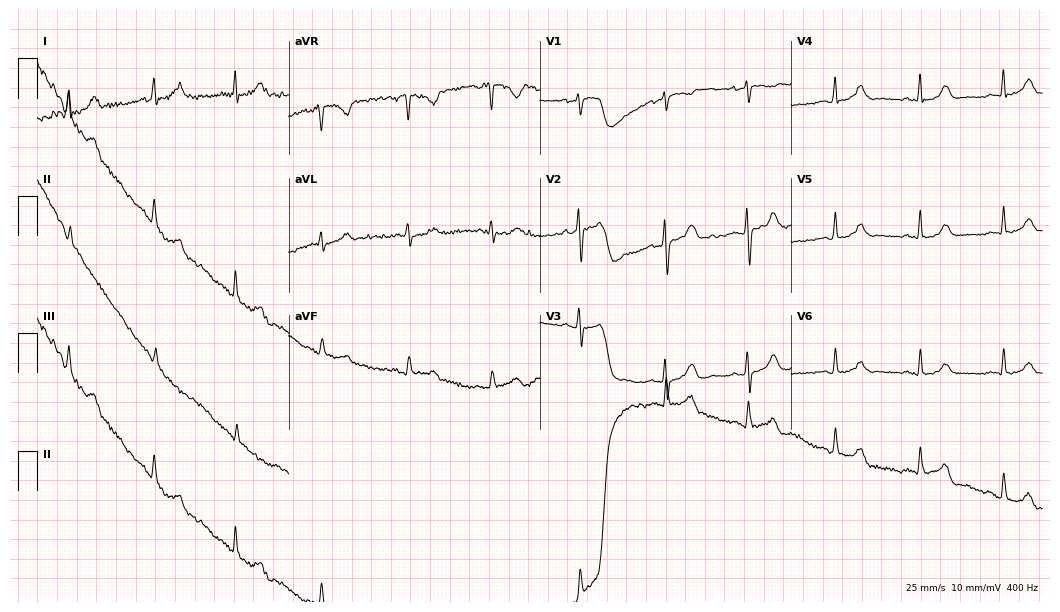
ECG — a woman, 43 years old. Screened for six findings — first-degree AV block, right bundle branch block (RBBB), left bundle branch block (LBBB), sinus bradycardia, atrial fibrillation (AF), sinus tachycardia — none is recorded. Other findings, if any, are not listed.